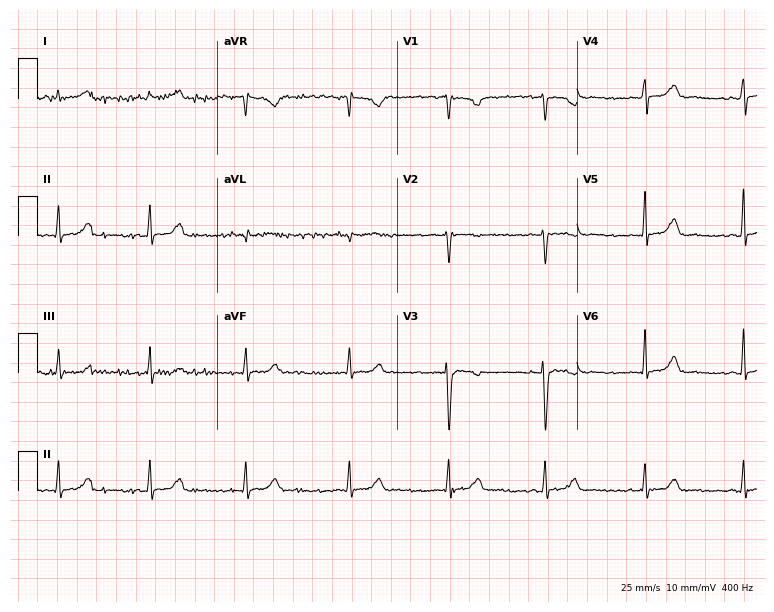
ECG (7.3-second recording at 400 Hz) — a 45-year-old woman. Screened for six findings — first-degree AV block, right bundle branch block (RBBB), left bundle branch block (LBBB), sinus bradycardia, atrial fibrillation (AF), sinus tachycardia — none is recorded.